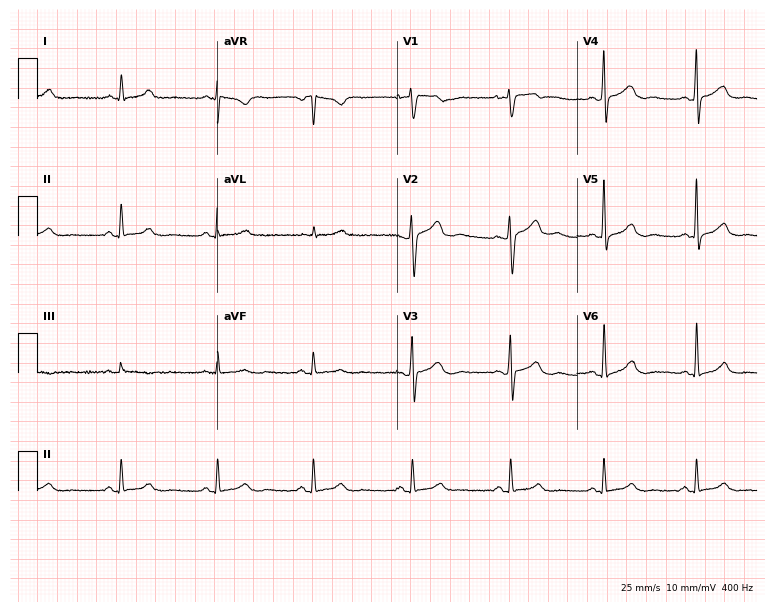
Resting 12-lead electrocardiogram (7.3-second recording at 400 Hz). Patient: a 33-year-old female. None of these six findings is recorded: first-degree AV block, right bundle branch block, left bundle branch block, sinus bradycardia, atrial fibrillation, sinus tachycardia. Other findings, if any, are not listed.